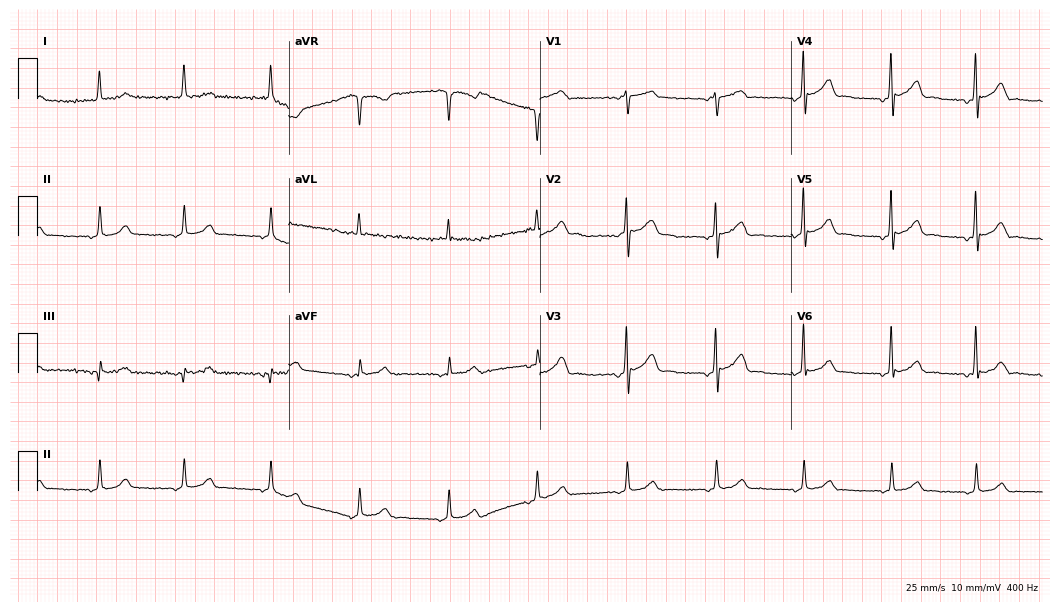
Standard 12-lead ECG recorded from a 71-year-old man (10.2-second recording at 400 Hz). Read as a normal ECG.